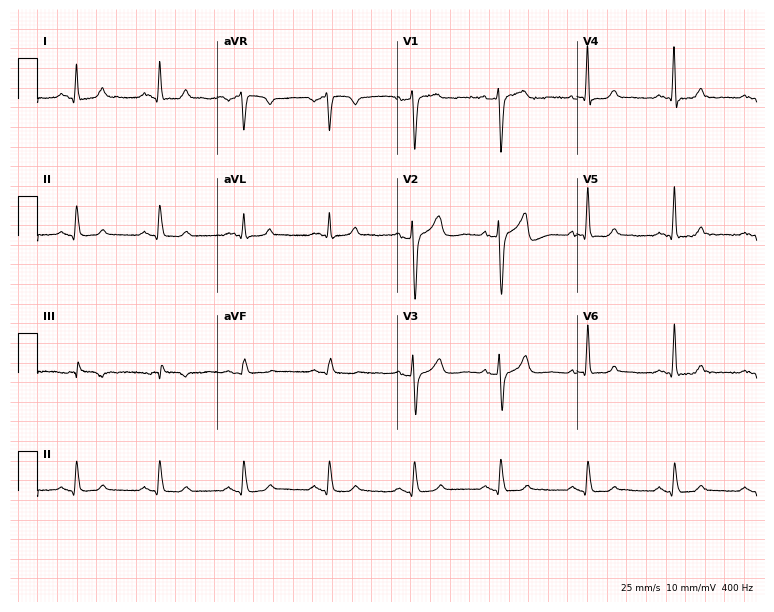
12-lead ECG (7.3-second recording at 400 Hz) from a 65-year-old man. Labelled as a normal ECG.